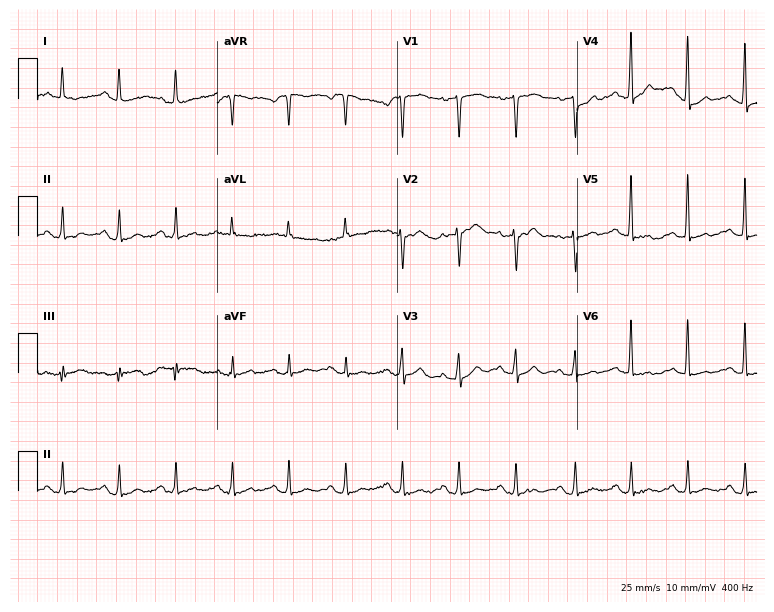
12-lead ECG from a female, 81 years old (7.3-second recording at 400 Hz). Shows sinus tachycardia (a sinus rate of 100 beats per minute or more).